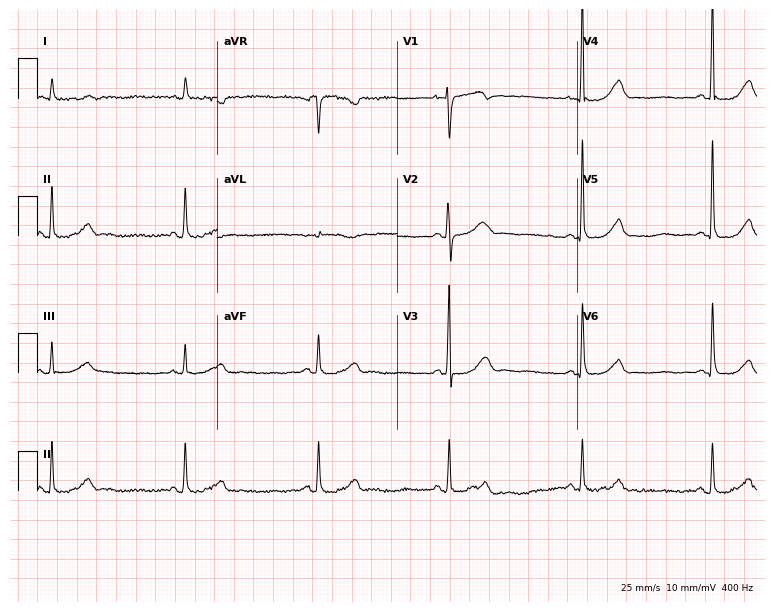
Resting 12-lead electrocardiogram (7.3-second recording at 400 Hz). Patient: a 62-year-old female. The tracing shows sinus bradycardia (a sinus rate of 50 beats per minute or less).